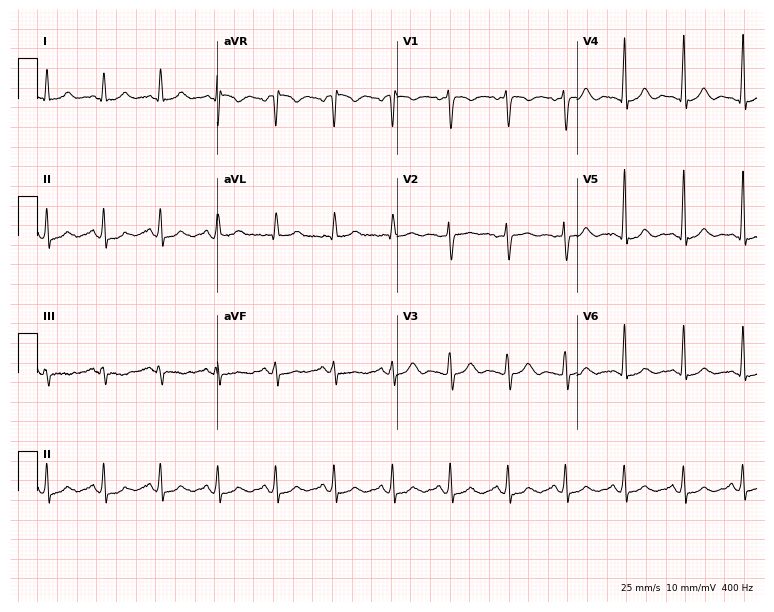
Electrocardiogram (7.3-second recording at 400 Hz), a female, 66 years old. Of the six screened findings (first-degree AV block, right bundle branch block, left bundle branch block, sinus bradycardia, atrial fibrillation, sinus tachycardia), none is recorded. Findings outside these six are not listed.